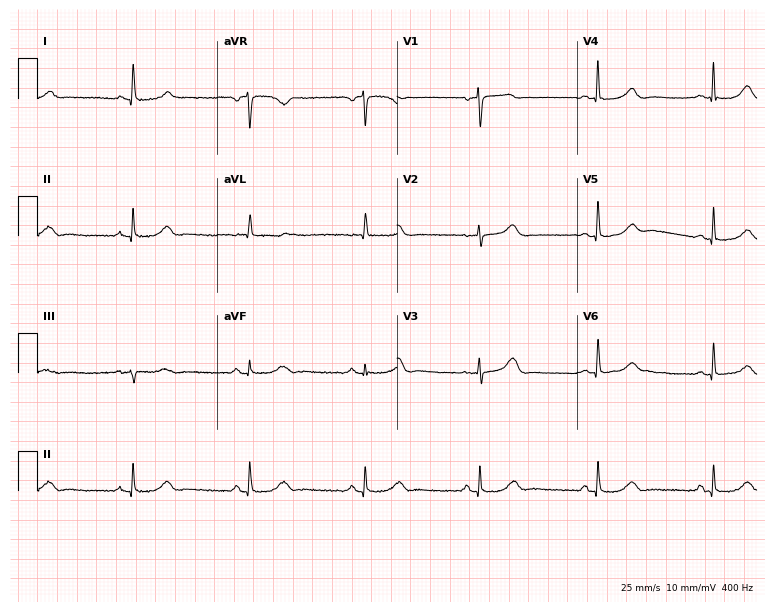
Resting 12-lead electrocardiogram. Patient: a woman, 83 years old. The tracing shows sinus bradycardia (a sinus rate of 50 beats per minute or less).